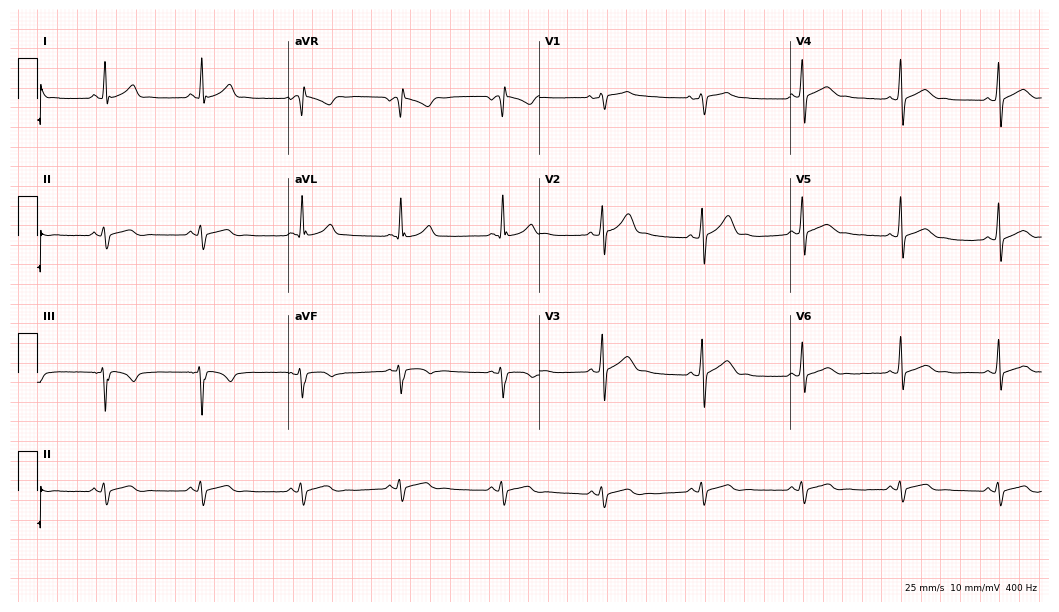
12-lead ECG from a 31-year-old man (10.2-second recording at 400 Hz). No first-degree AV block, right bundle branch block (RBBB), left bundle branch block (LBBB), sinus bradycardia, atrial fibrillation (AF) or sinus tachycardia recorded for this tracing. Only these six findings were labelled.